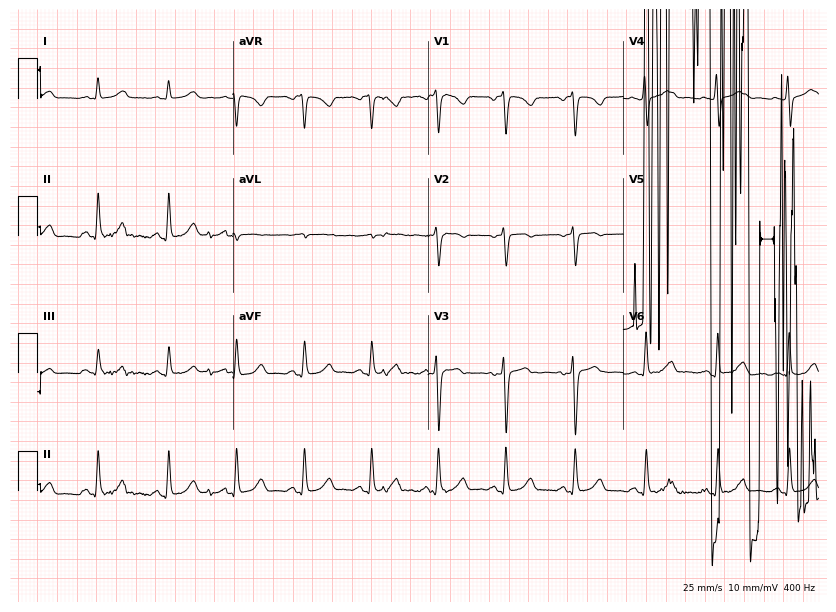
Electrocardiogram (8-second recording at 400 Hz), a female patient, 44 years old. Of the six screened findings (first-degree AV block, right bundle branch block, left bundle branch block, sinus bradycardia, atrial fibrillation, sinus tachycardia), none is recorded.